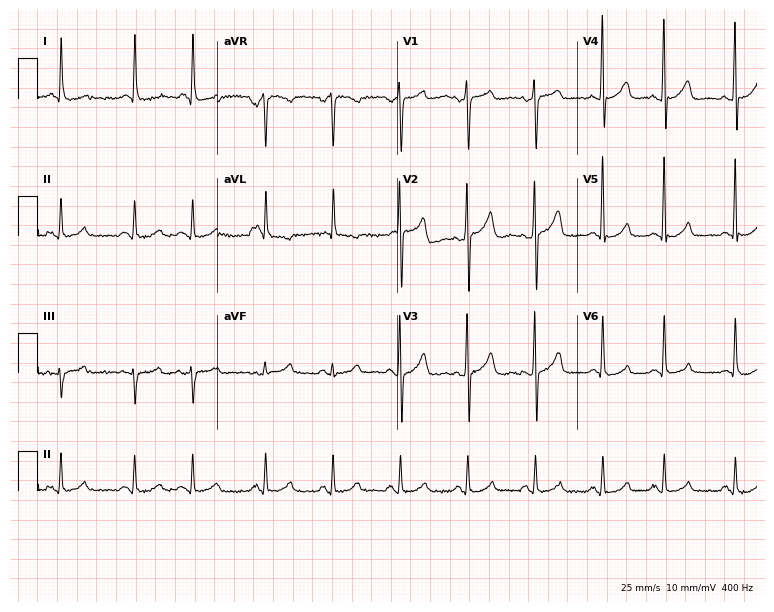
12-lead ECG from a male patient, 69 years old. Labelled as a normal ECG.